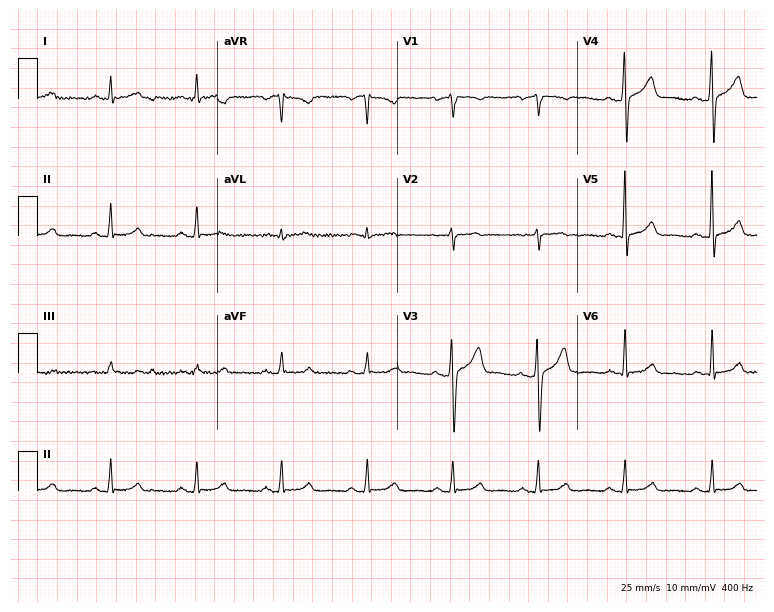
12-lead ECG from a man, 43 years old. Labelled as a normal ECG.